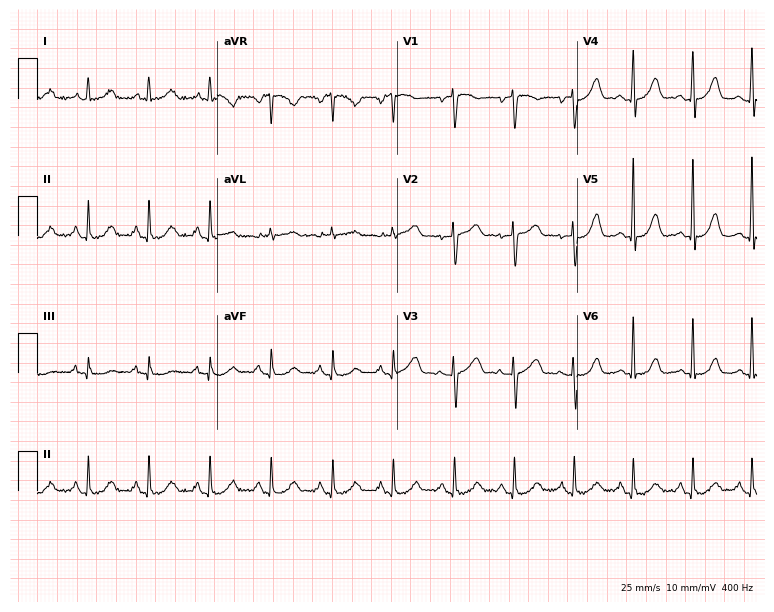
12-lead ECG from a 62-year-old female. Labelled as a normal ECG.